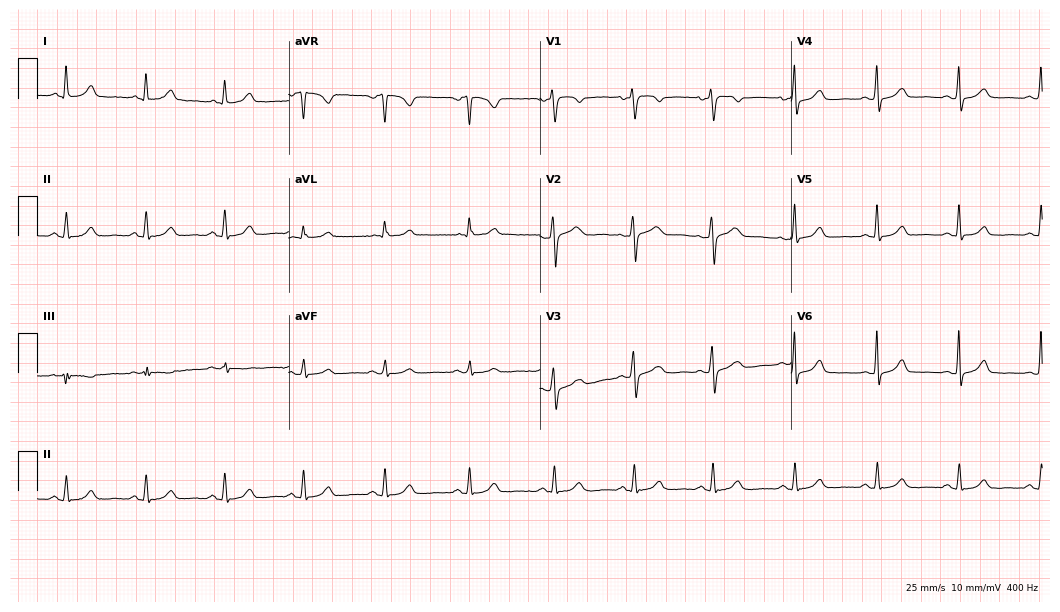
Electrocardiogram, a 50-year-old female patient. Of the six screened findings (first-degree AV block, right bundle branch block, left bundle branch block, sinus bradycardia, atrial fibrillation, sinus tachycardia), none is recorded. Only these six findings were labelled.